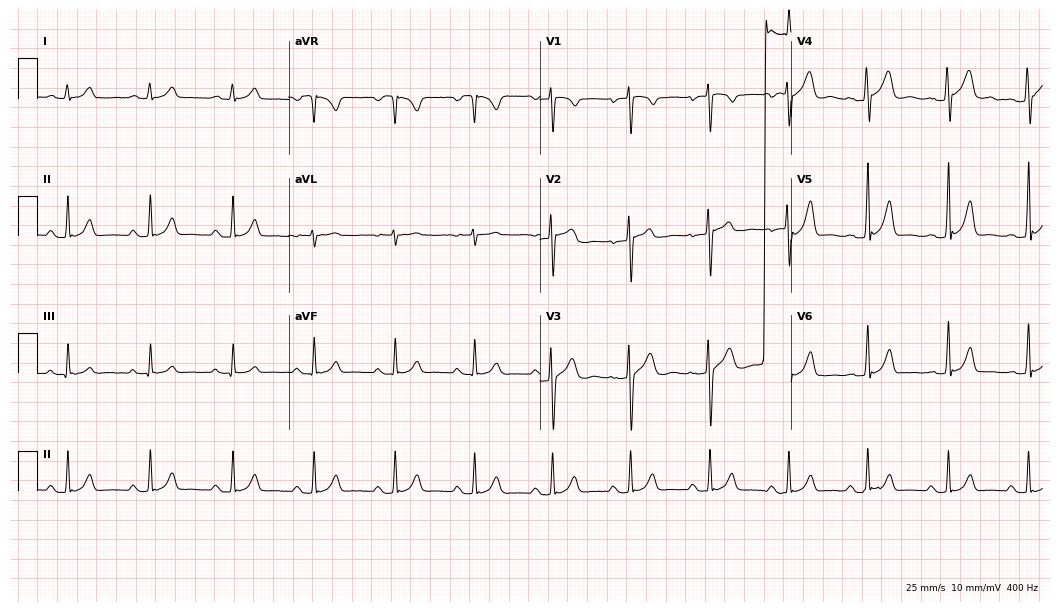
Electrocardiogram, a 25-year-old male. Of the six screened findings (first-degree AV block, right bundle branch block (RBBB), left bundle branch block (LBBB), sinus bradycardia, atrial fibrillation (AF), sinus tachycardia), none is recorded. Only these six findings were labelled.